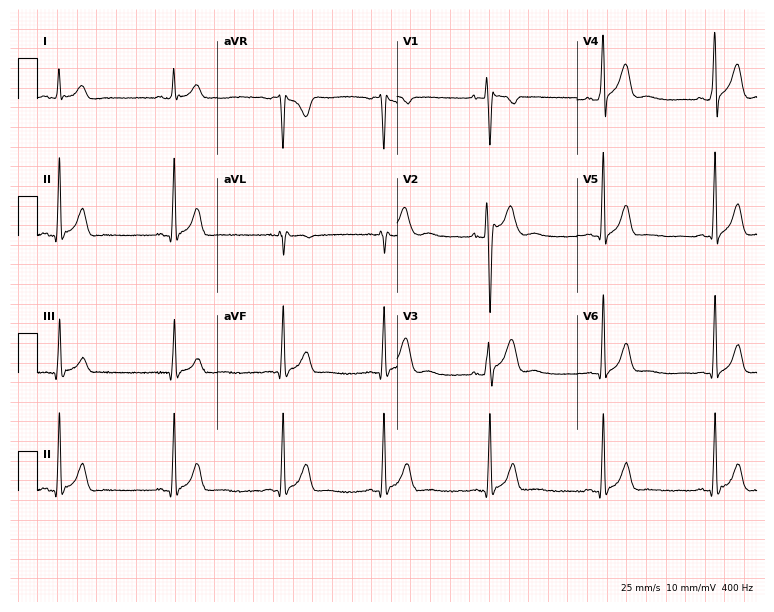
12-lead ECG (7.3-second recording at 400 Hz) from a 22-year-old man. Screened for six findings — first-degree AV block, right bundle branch block, left bundle branch block, sinus bradycardia, atrial fibrillation, sinus tachycardia — none is recorded. Other findings, if any, are not listed.